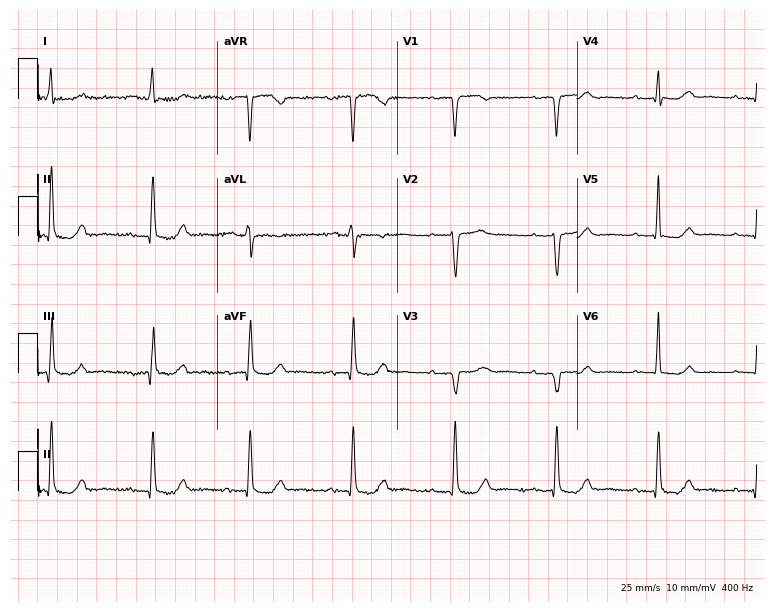
12-lead ECG (7.3-second recording at 400 Hz) from a woman, 68 years old. Findings include first-degree AV block.